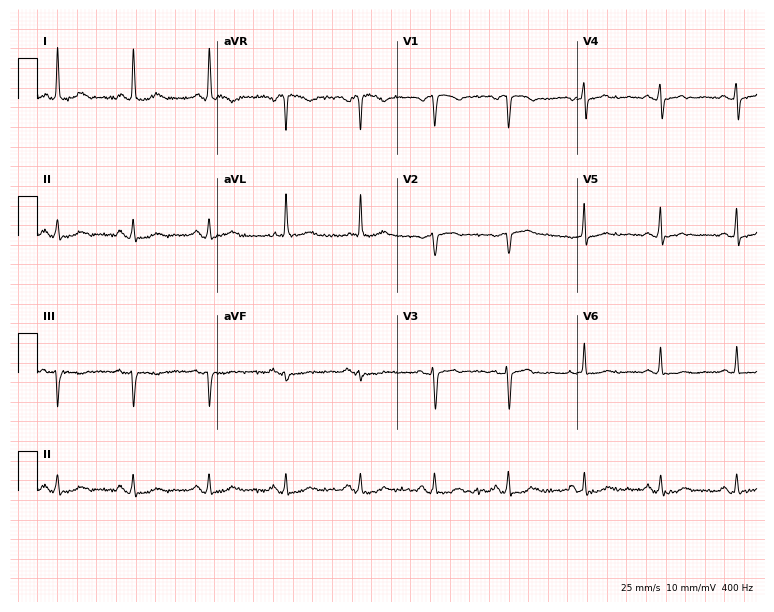
12-lead ECG from a female, 83 years old. Screened for six findings — first-degree AV block, right bundle branch block, left bundle branch block, sinus bradycardia, atrial fibrillation, sinus tachycardia — none is recorded.